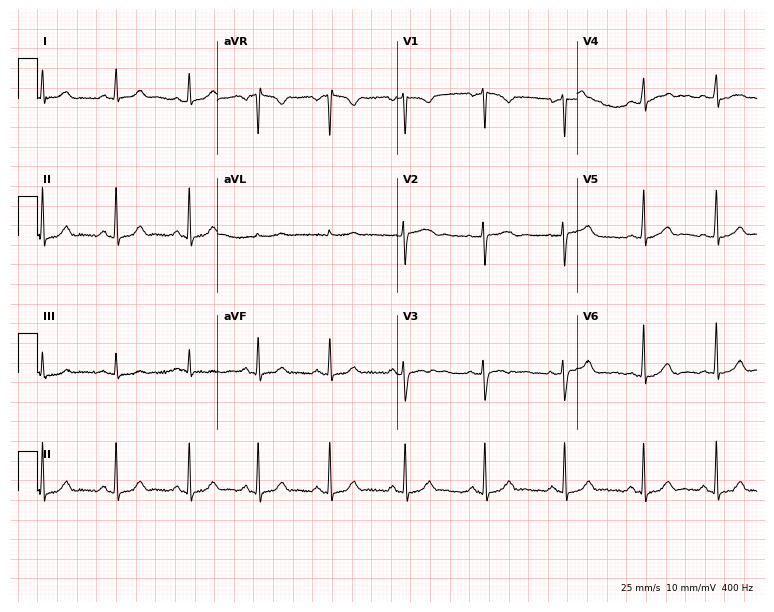
12-lead ECG (7.3-second recording at 400 Hz) from a 25-year-old female patient. Labelled as a normal ECG.